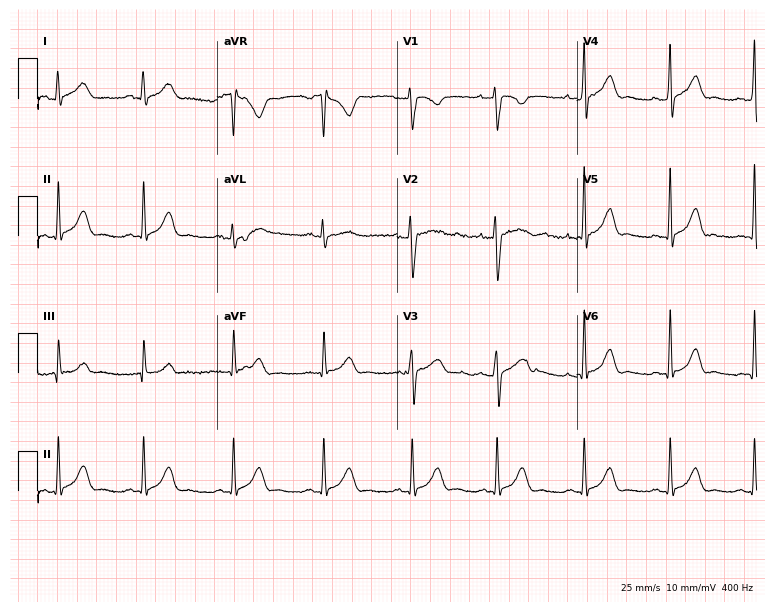
ECG (7.3-second recording at 400 Hz) — a female patient, 25 years old. Labelled as a normal ECG.